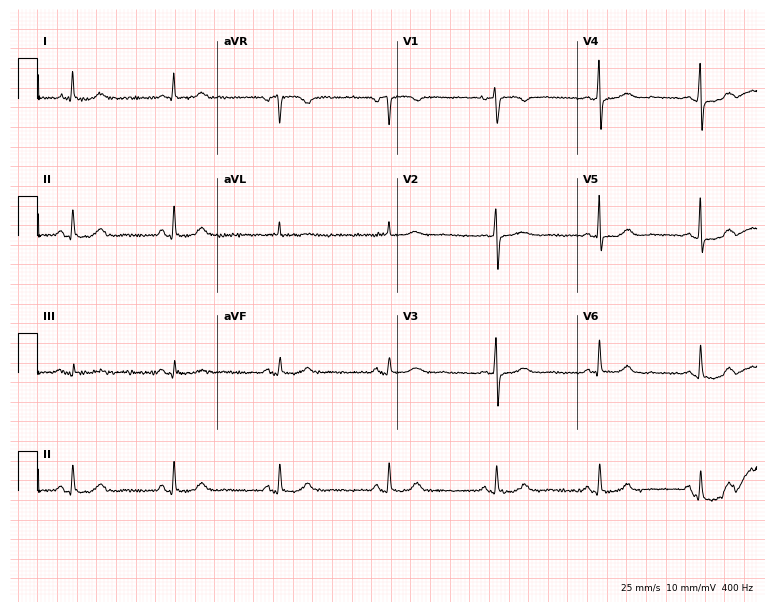
12-lead ECG from a female patient, 59 years old. Labelled as a normal ECG.